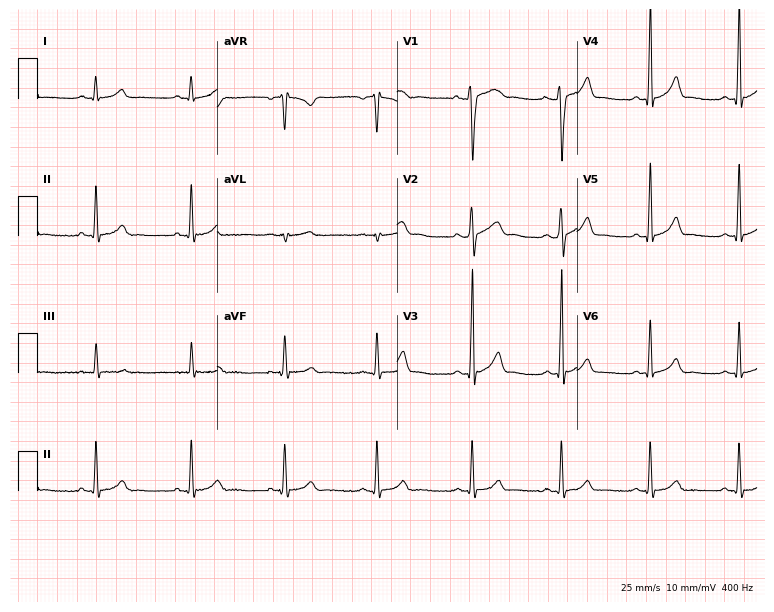
ECG — a 28-year-old male patient. Screened for six findings — first-degree AV block, right bundle branch block, left bundle branch block, sinus bradycardia, atrial fibrillation, sinus tachycardia — none is recorded.